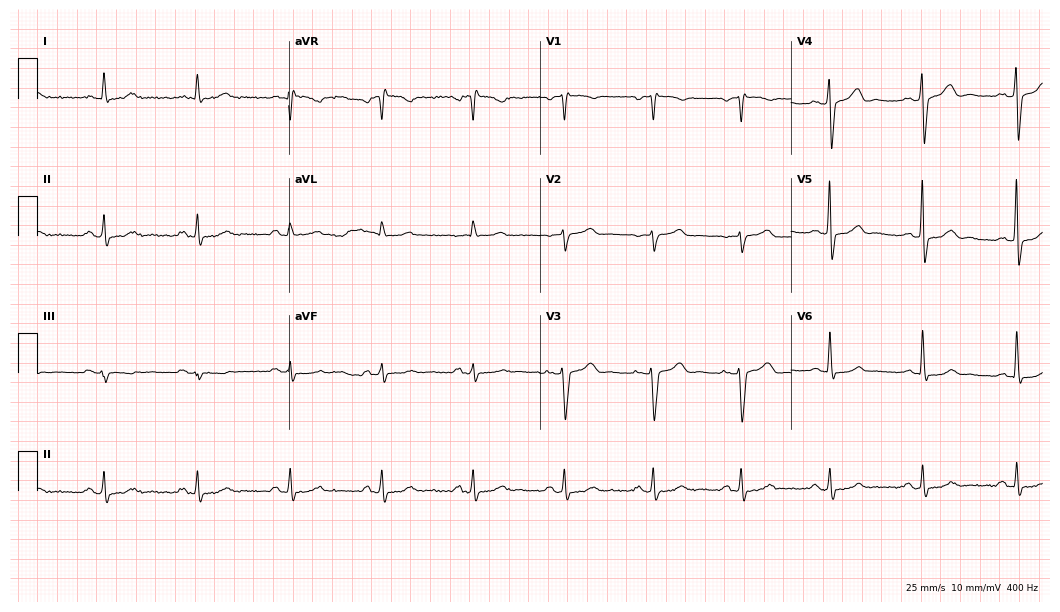
12-lead ECG (10.2-second recording at 400 Hz) from a male, 66 years old. Labelled as a normal ECG.